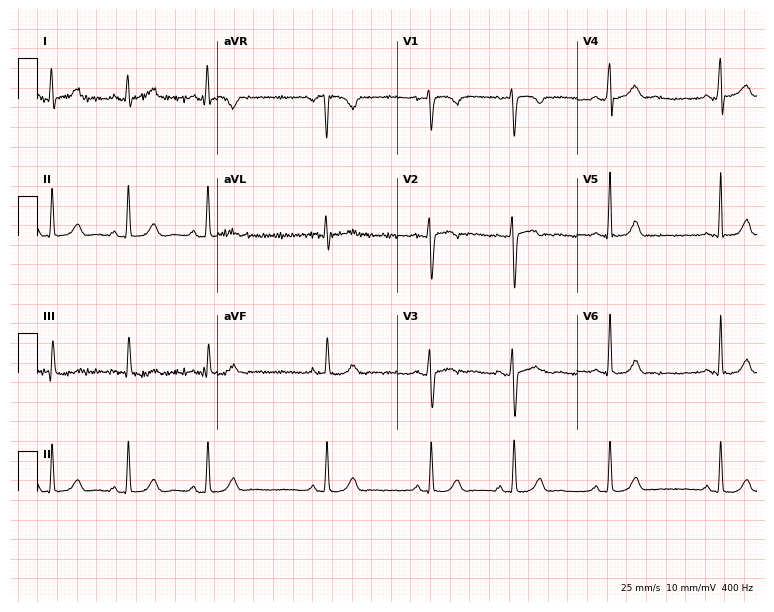
Standard 12-lead ECG recorded from a 19-year-old woman. Read as a normal ECG.